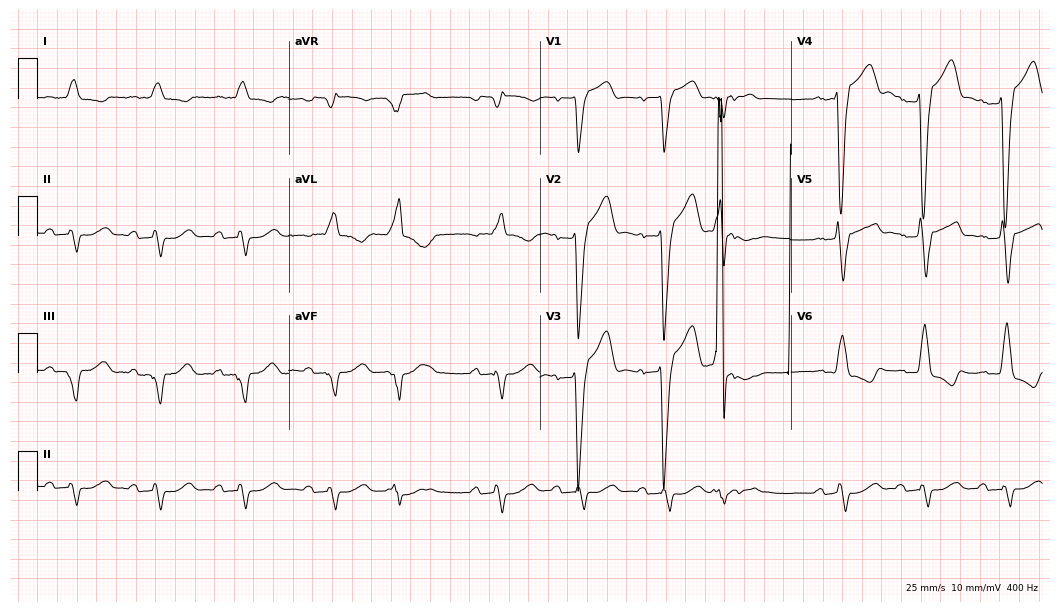
Standard 12-lead ECG recorded from a male patient, 83 years old (10.2-second recording at 400 Hz). The tracing shows atrial fibrillation (AF).